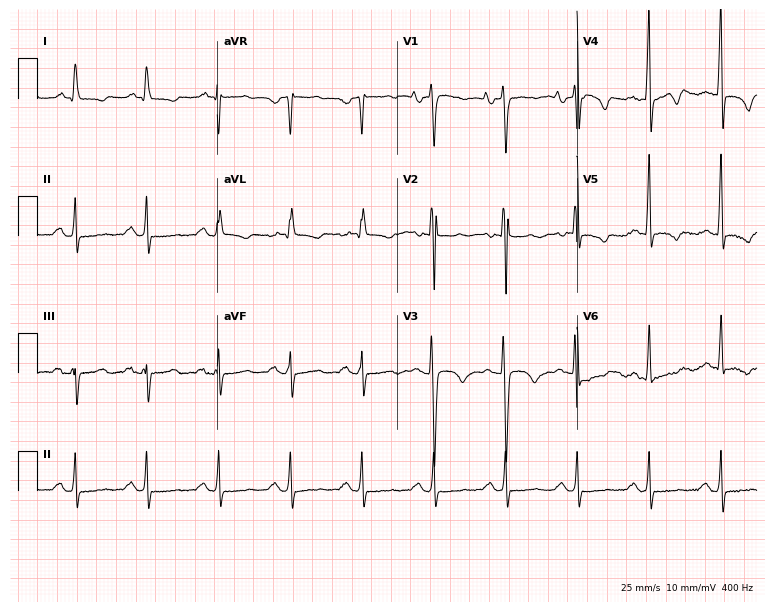
ECG — a man, 45 years old. Screened for six findings — first-degree AV block, right bundle branch block, left bundle branch block, sinus bradycardia, atrial fibrillation, sinus tachycardia — none is recorded. Other findings, if any, are not listed.